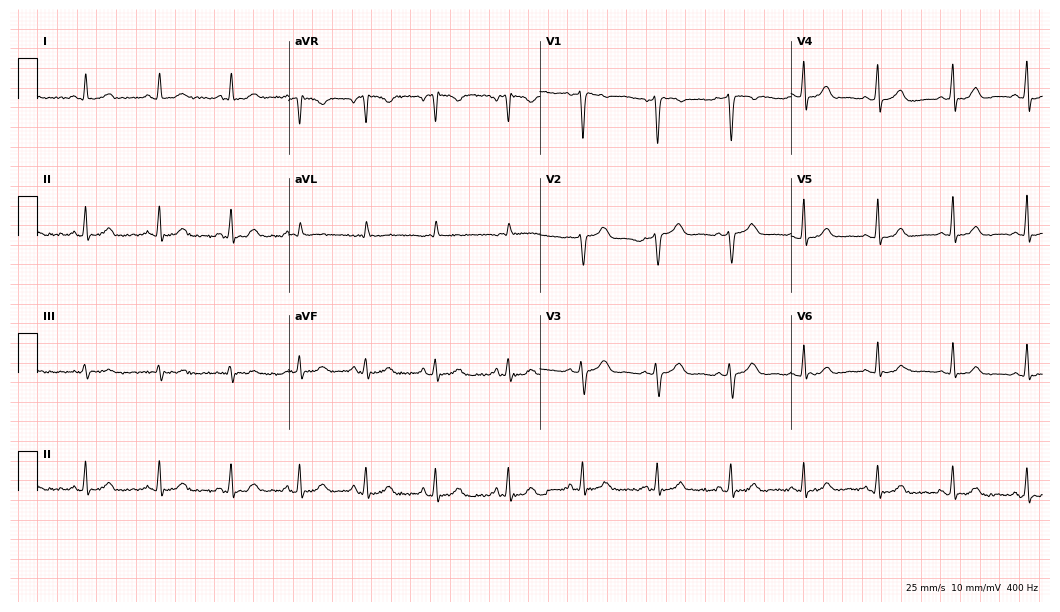
Standard 12-lead ECG recorded from a female patient, 50 years old. Read as a normal ECG.